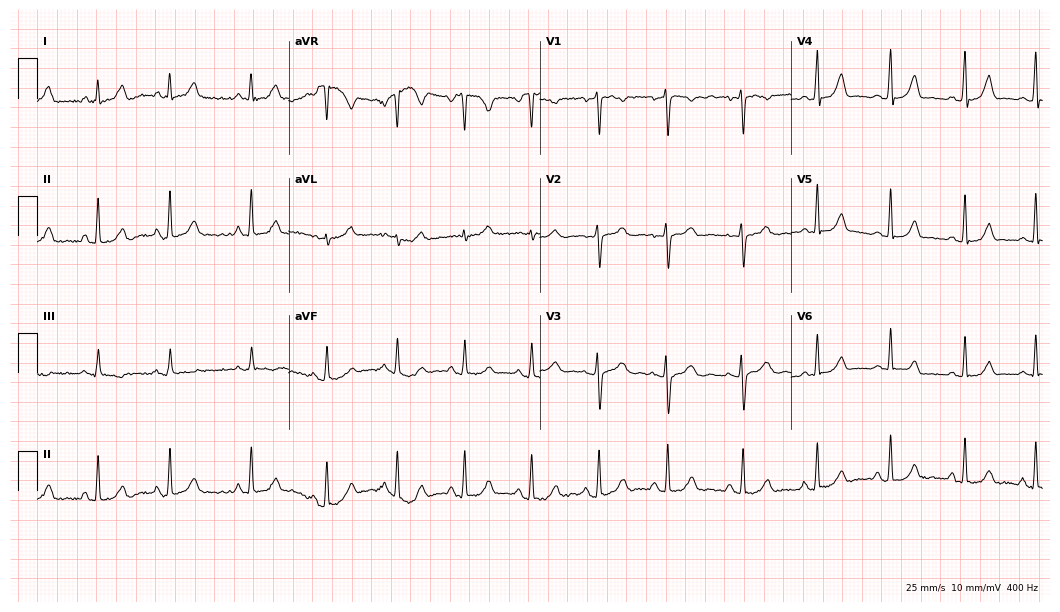
Resting 12-lead electrocardiogram. Patient: a 22-year-old female. Read as a normal ECG.